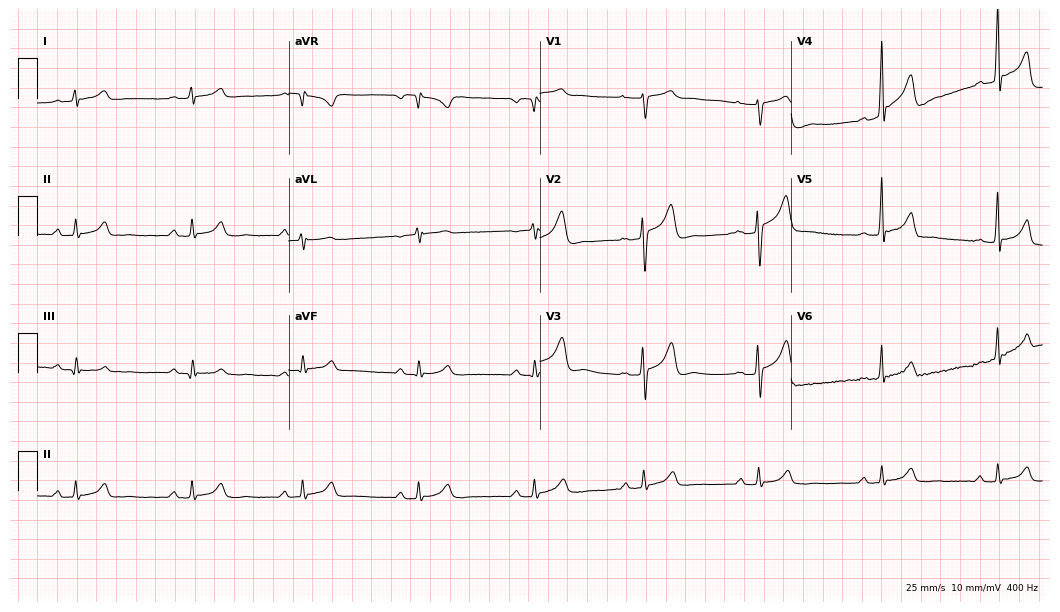
Resting 12-lead electrocardiogram (10.2-second recording at 400 Hz). Patient: a man, 31 years old. None of these six findings is recorded: first-degree AV block, right bundle branch block, left bundle branch block, sinus bradycardia, atrial fibrillation, sinus tachycardia.